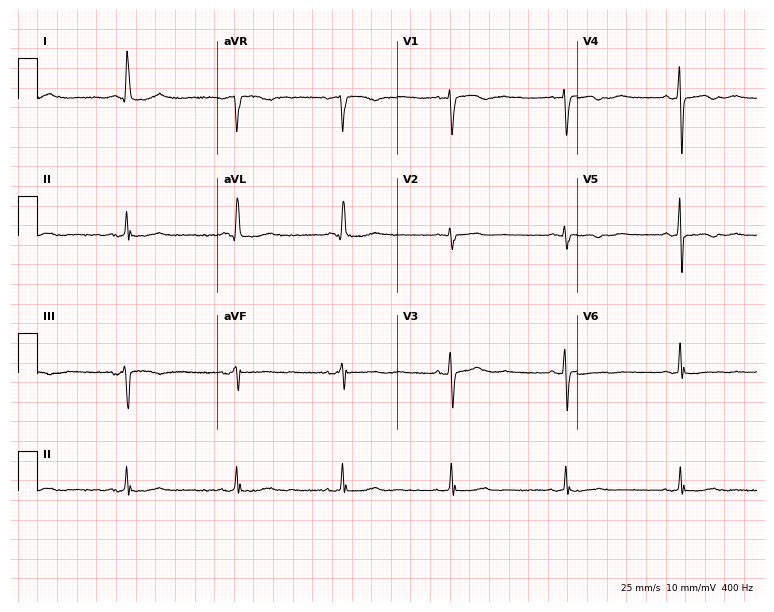
Standard 12-lead ECG recorded from a 62-year-old female patient. None of these six findings is recorded: first-degree AV block, right bundle branch block, left bundle branch block, sinus bradycardia, atrial fibrillation, sinus tachycardia.